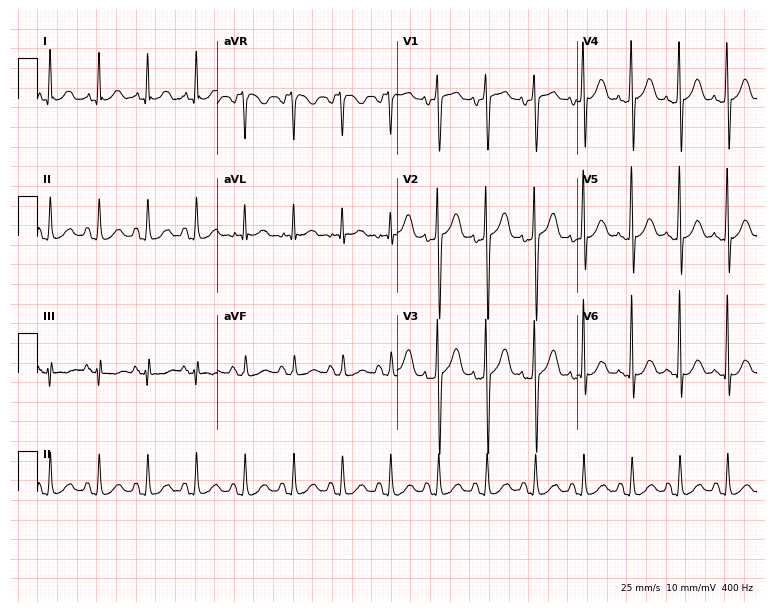
Electrocardiogram (7.3-second recording at 400 Hz), a female, 47 years old. Interpretation includes sinus tachycardia (a sinus rate of 100 beats per minute or more).